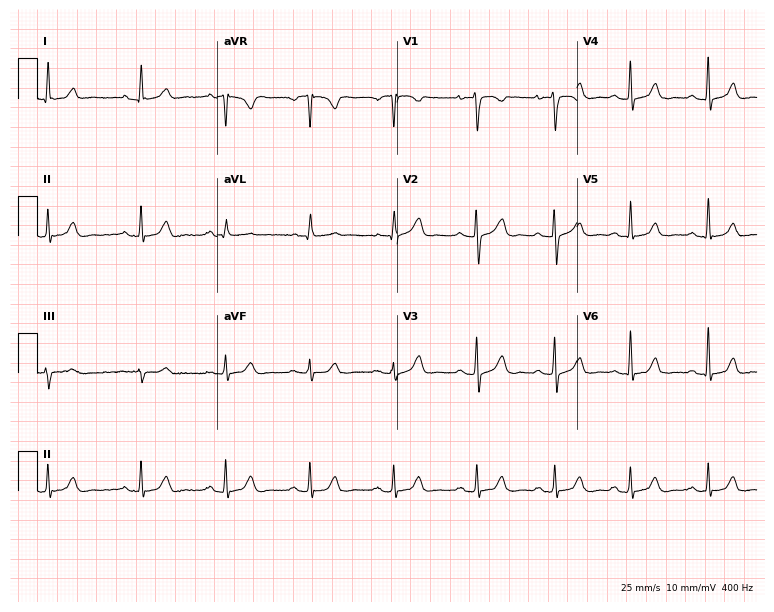
12-lead ECG from a 56-year-old female. Recorded interpretation: within normal limits.